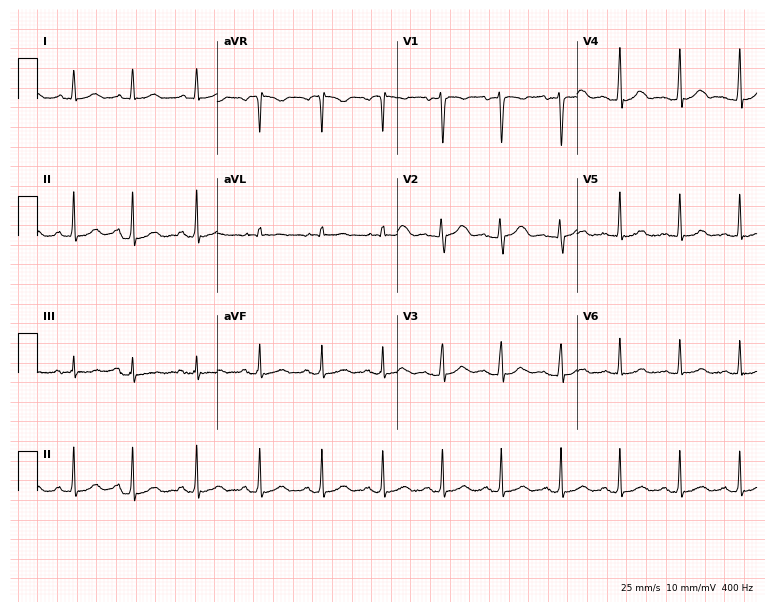
12-lead ECG from a woman, 29 years old. Recorded interpretation: within normal limits.